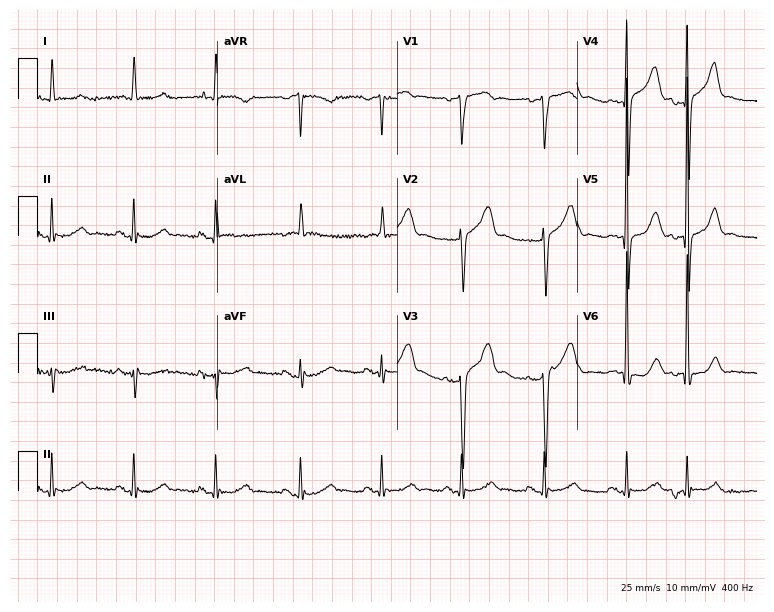
Standard 12-lead ECG recorded from a 76-year-old male. None of these six findings is recorded: first-degree AV block, right bundle branch block, left bundle branch block, sinus bradycardia, atrial fibrillation, sinus tachycardia. Only these six findings were labelled.